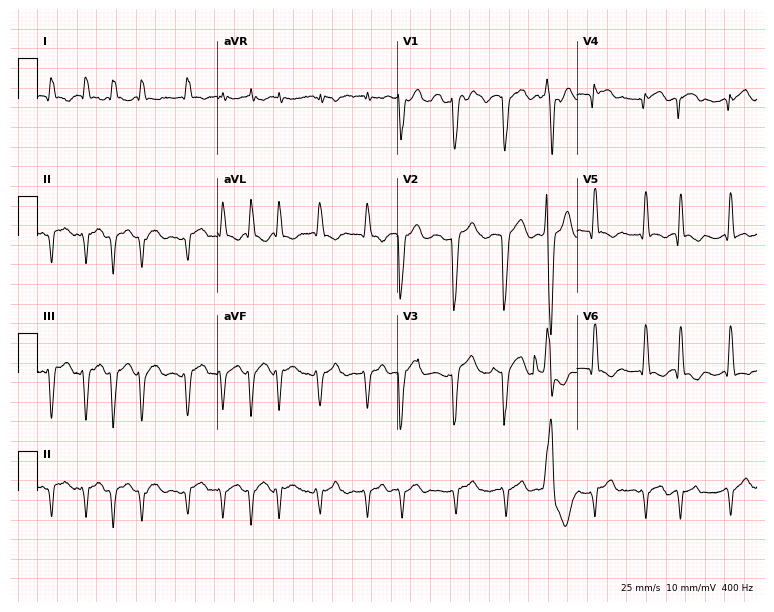
Standard 12-lead ECG recorded from a female, 79 years old. The tracing shows atrial fibrillation.